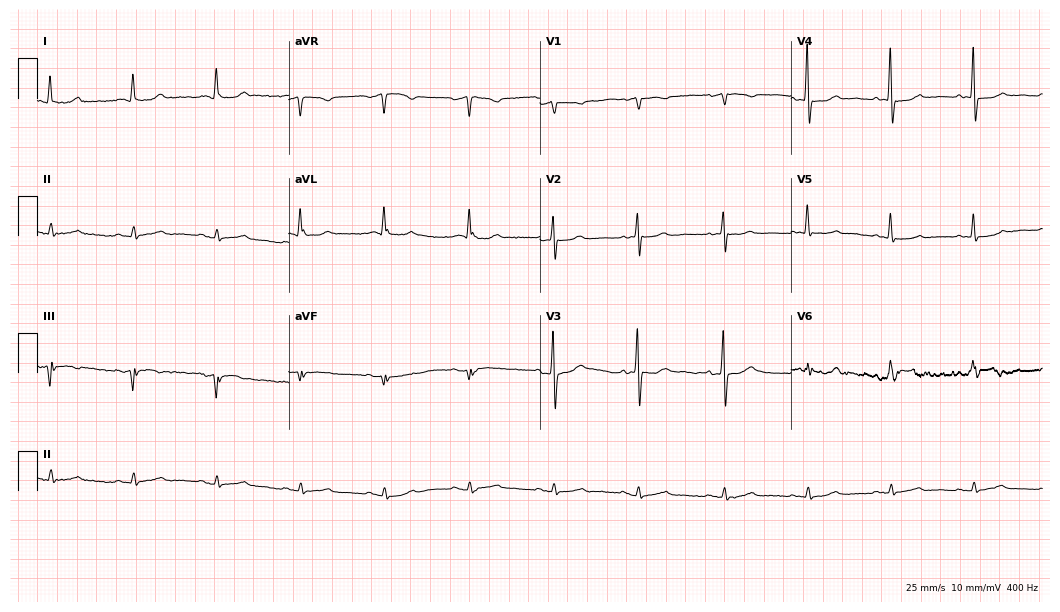
12-lead ECG from a female patient, 72 years old. Screened for six findings — first-degree AV block, right bundle branch block (RBBB), left bundle branch block (LBBB), sinus bradycardia, atrial fibrillation (AF), sinus tachycardia — none is recorded. Only these six findings were labelled.